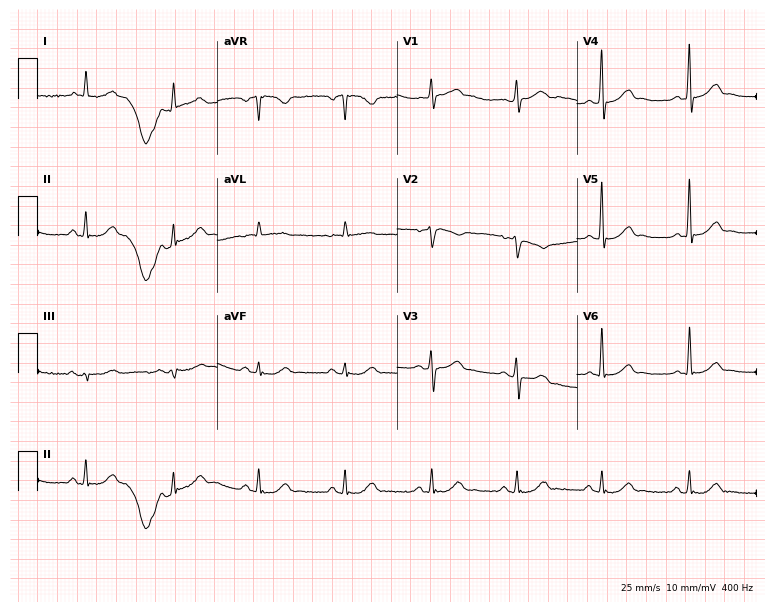
Resting 12-lead electrocardiogram. Patient: a man, 66 years old. None of these six findings is recorded: first-degree AV block, right bundle branch block, left bundle branch block, sinus bradycardia, atrial fibrillation, sinus tachycardia. Only these six findings were labelled.